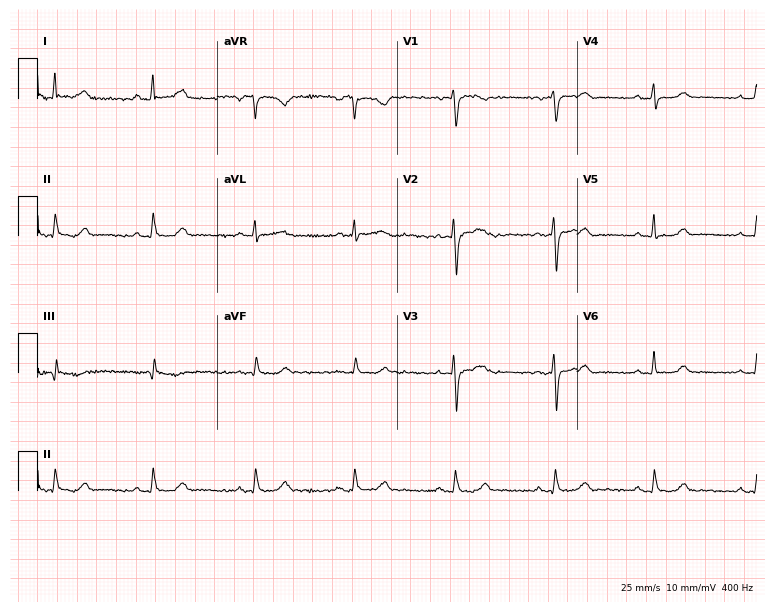
Resting 12-lead electrocardiogram (7.3-second recording at 400 Hz). Patient: a 71-year-old female. None of these six findings is recorded: first-degree AV block, right bundle branch block, left bundle branch block, sinus bradycardia, atrial fibrillation, sinus tachycardia. Only these six findings were labelled.